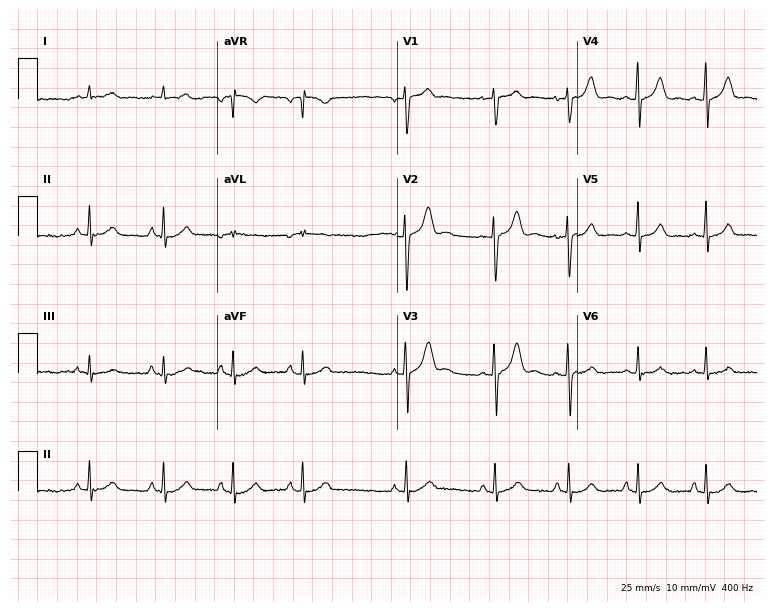
12-lead ECG from a 22-year-old man. No first-degree AV block, right bundle branch block, left bundle branch block, sinus bradycardia, atrial fibrillation or sinus tachycardia recorded for this tracing.